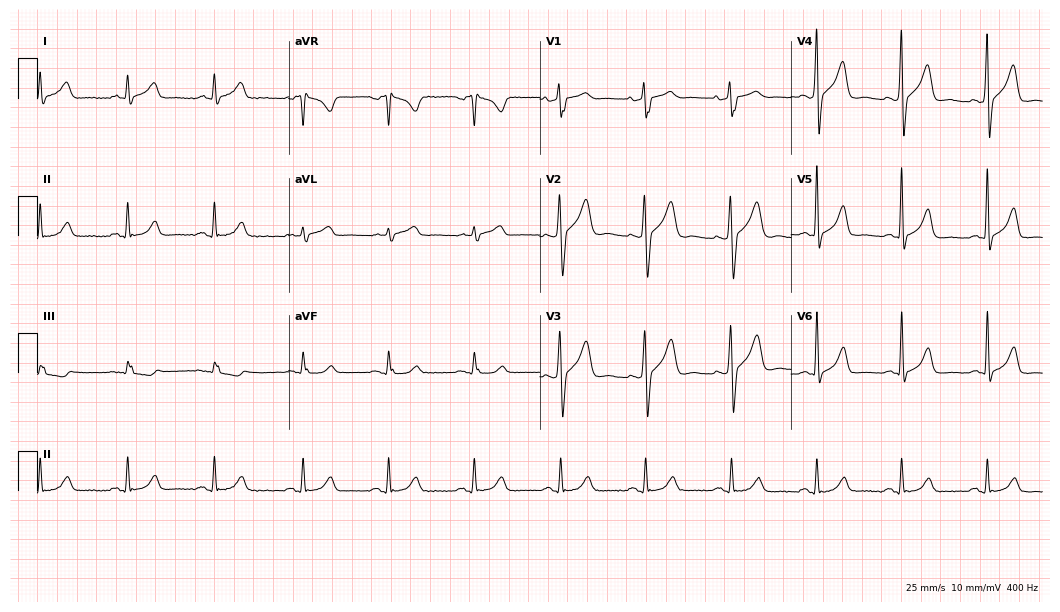
12-lead ECG (10.2-second recording at 400 Hz) from a man, 72 years old. Screened for six findings — first-degree AV block, right bundle branch block, left bundle branch block, sinus bradycardia, atrial fibrillation, sinus tachycardia — none is recorded. Only these six findings were labelled.